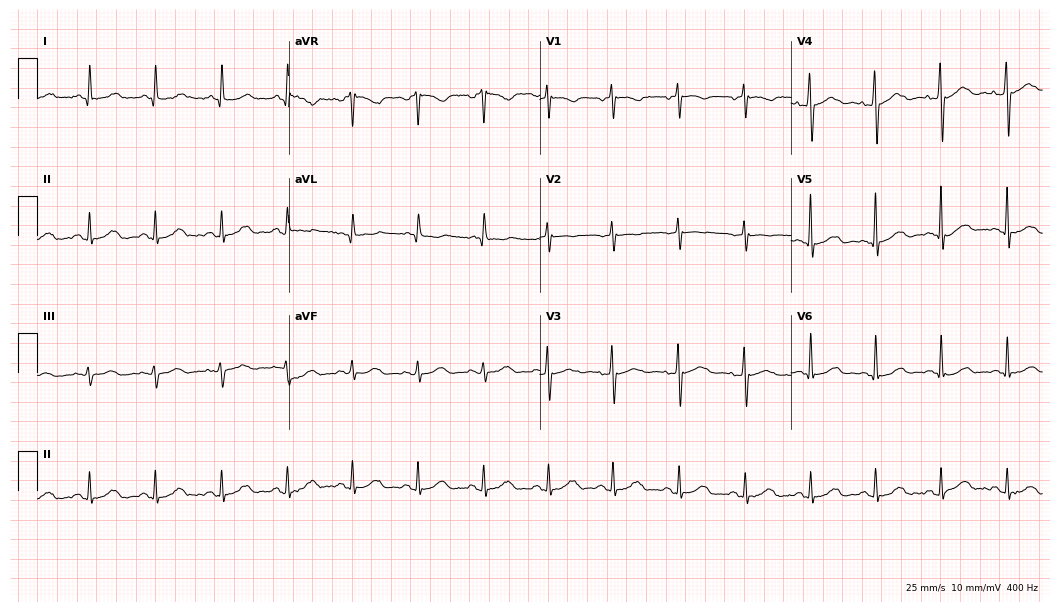
12-lead ECG (10.2-second recording at 400 Hz) from a woman, 80 years old. Labelled as a normal ECG.